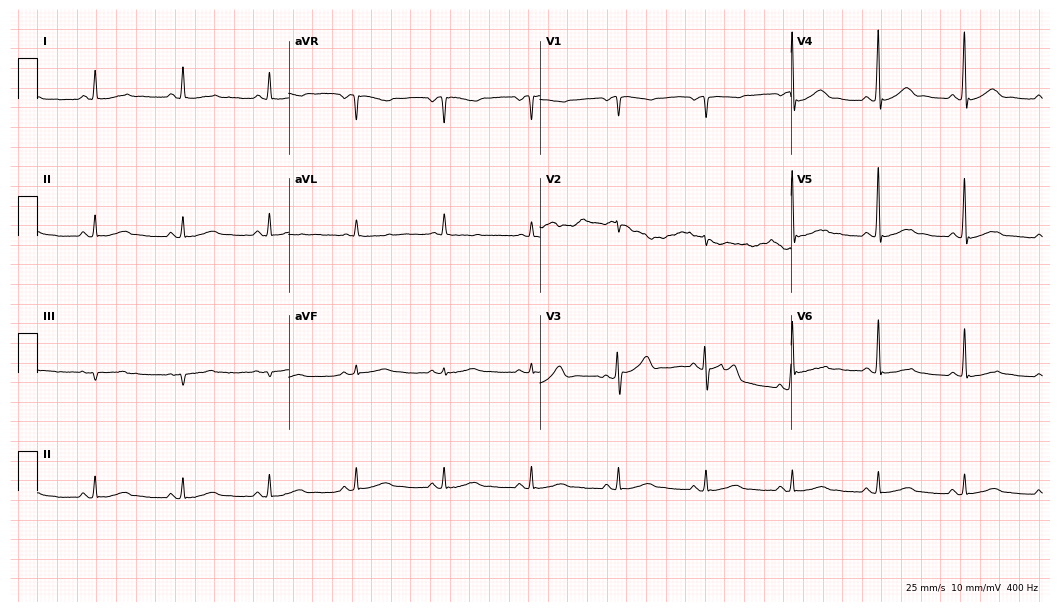
12-lead ECG (10.2-second recording at 400 Hz) from an 80-year-old man. Labelled as a normal ECG.